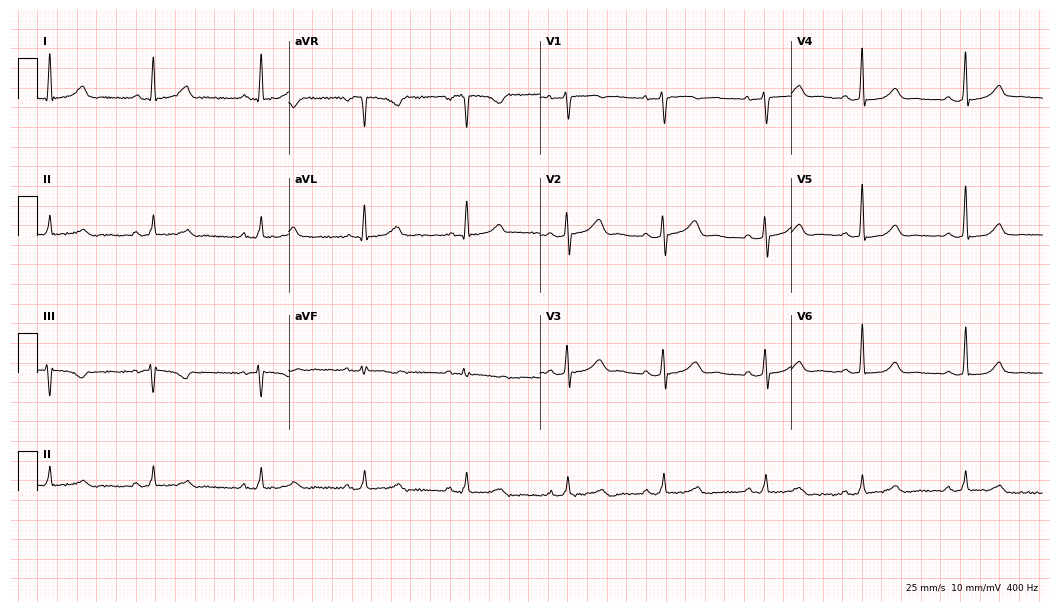
Standard 12-lead ECG recorded from a woman, 53 years old (10.2-second recording at 400 Hz). Read as a normal ECG.